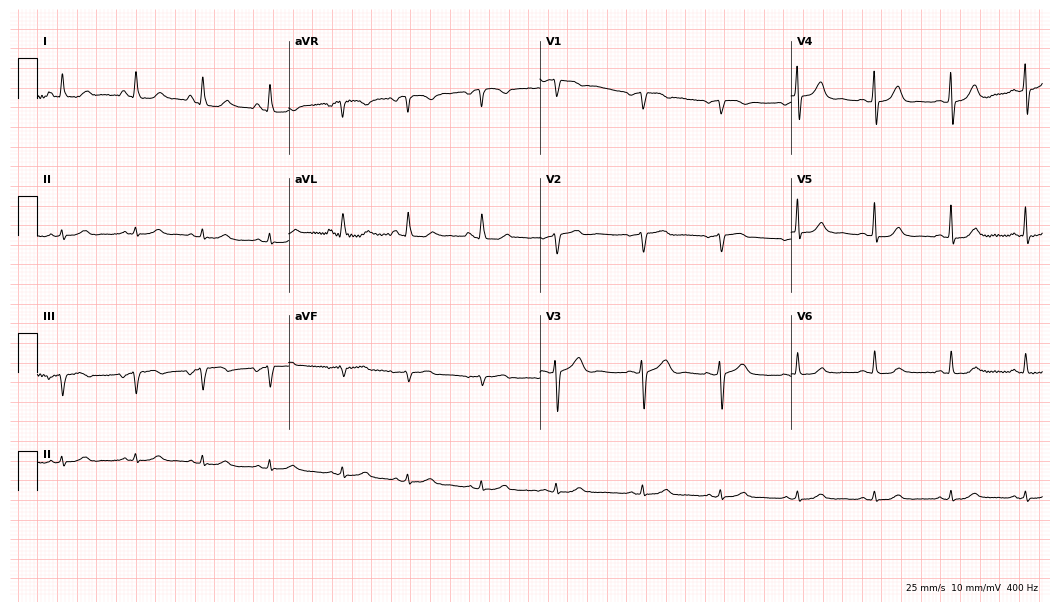
12-lead ECG from a 63-year-old man. No first-degree AV block, right bundle branch block (RBBB), left bundle branch block (LBBB), sinus bradycardia, atrial fibrillation (AF) or sinus tachycardia recorded for this tracing.